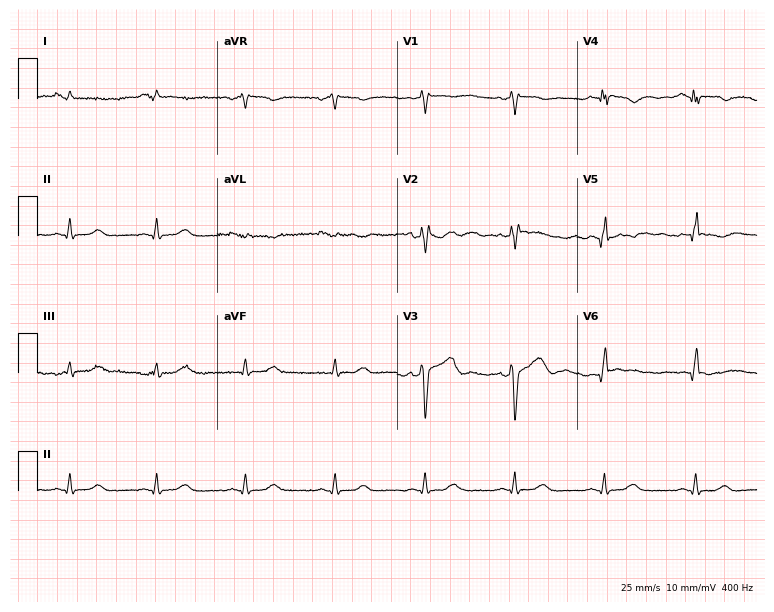
Resting 12-lead electrocardiogram. Patient: a 61-year-old male. None of these six findings is recorded: first-degree AV block, right bundle branch block, left bundle branch block, sinus bradycardia, atrial fibrillation, sinus tachycardia. Other findings, if any, are not listed.